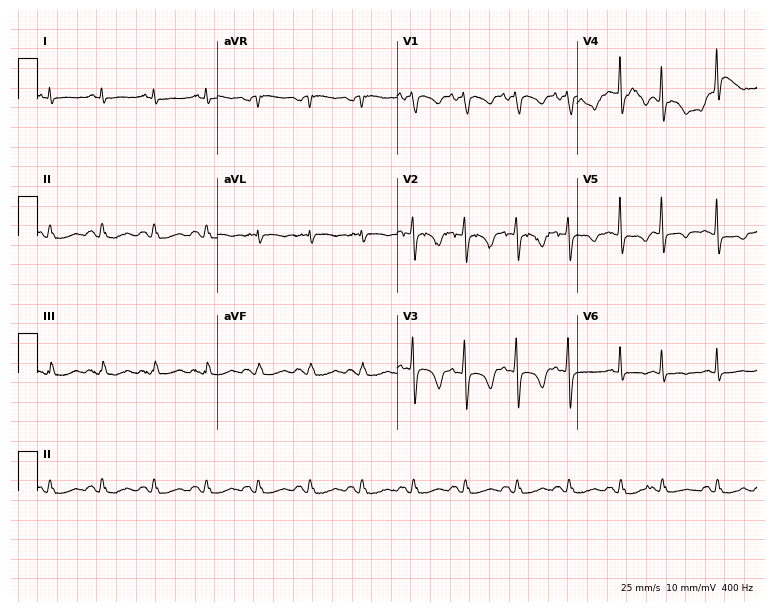
12-lead ECG from a 70-year-old male. Shows sinus tachycardia (a sinus rate of 100 beats per minute or more).